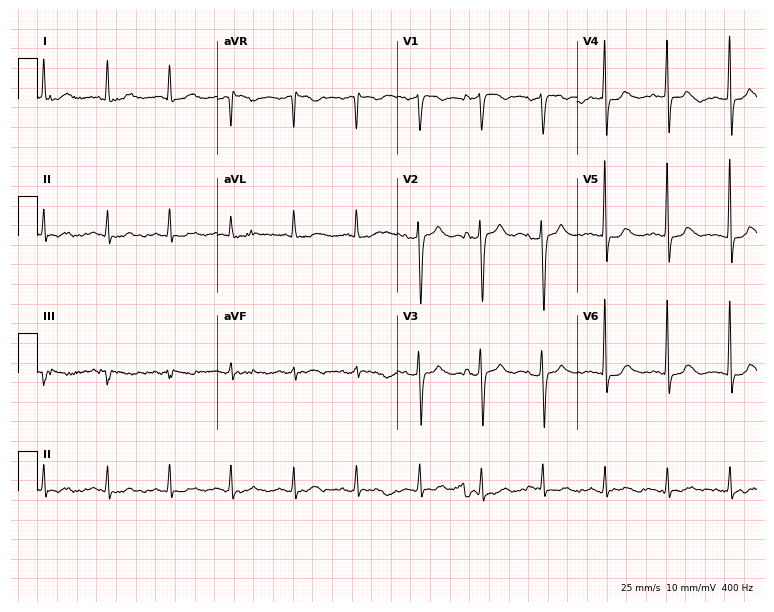
12-lead ECG (7.3-second recording at 400 Hz) from a 75-year-old female patient. Screened for six findings — first-degree AV block, right bundle branch block, left bundle branch block, sinus bradycardia, atrial fibrillation, sinus tachycardia — none is recorded. Findings outside these six are not listed.